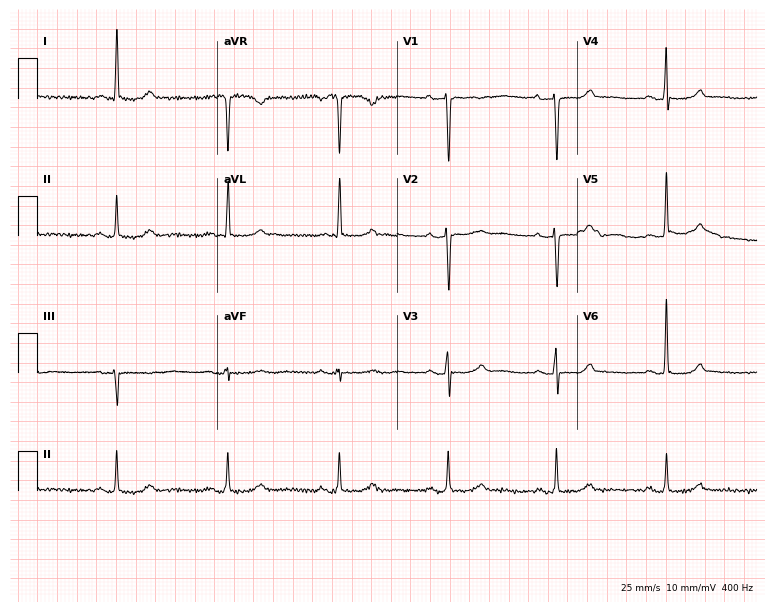
Resting 12-lead electrocardiogram (7.3-second recording at 400 Hz). Patient: a female, 72 years old. None of these six findings is recorded: first-degree AV block, right bundle branch block, left bundle branch block, sinus bradycardia, atrial fibrillation, sinus tachycardia. Other findings, if any, are not listed.